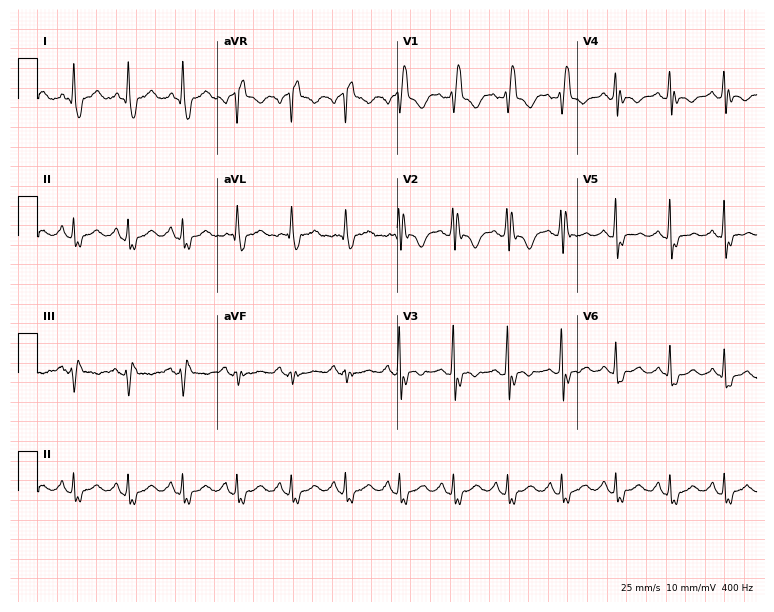
Resting 12-lead electrocardiogram. Patient: a woman, 55 years old. The tracing shows right bundle branch block (RBBB).